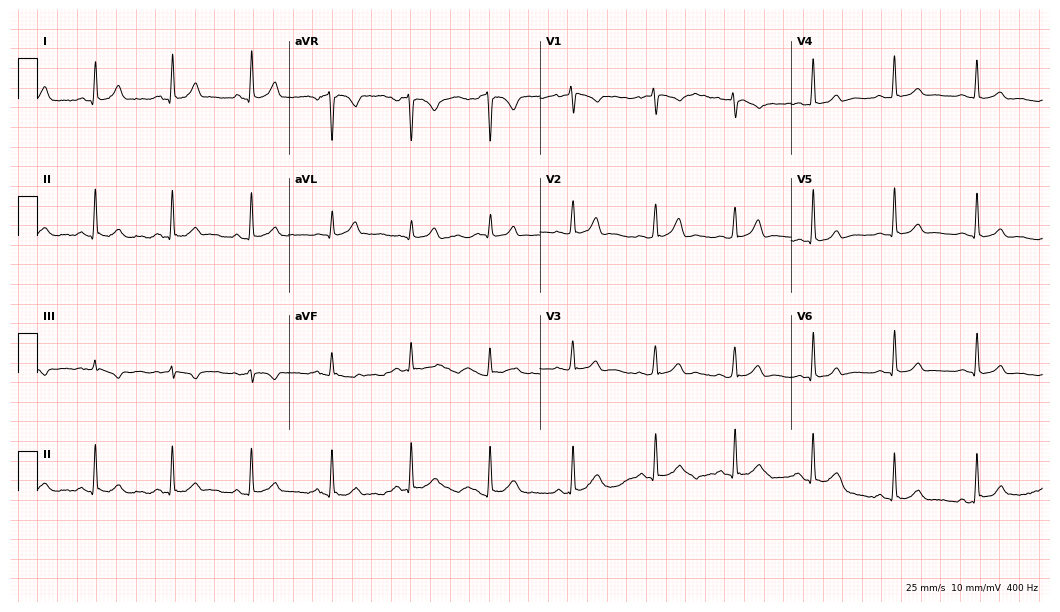
12-lead ECG from a 44-year-old female patient. Labelled as a normal ECG.